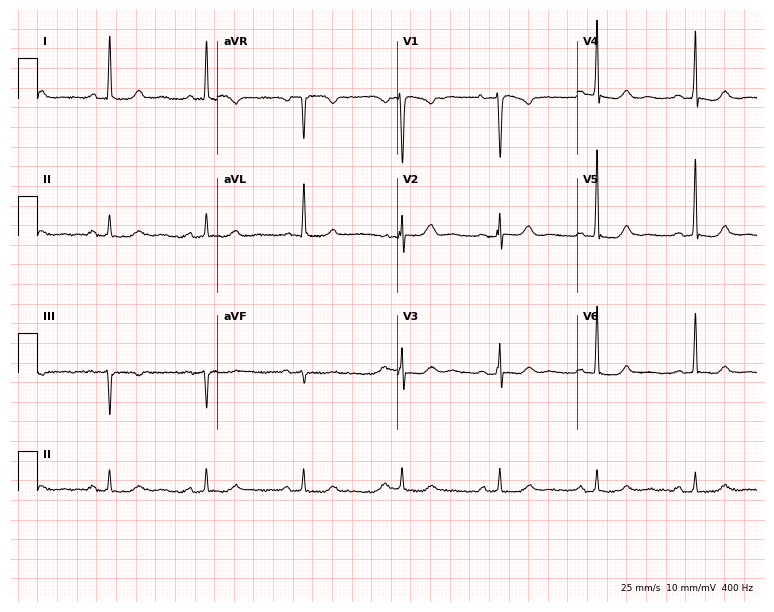
ECG (7.3-second recording at 400 Hz) — a 75-year-old female. Screened for six findings — first-degree AV block, right bundle branch block, left bundle branch block, sinus bradycardia, atrial fibrillation, sinus tachycardia — none is recorded.